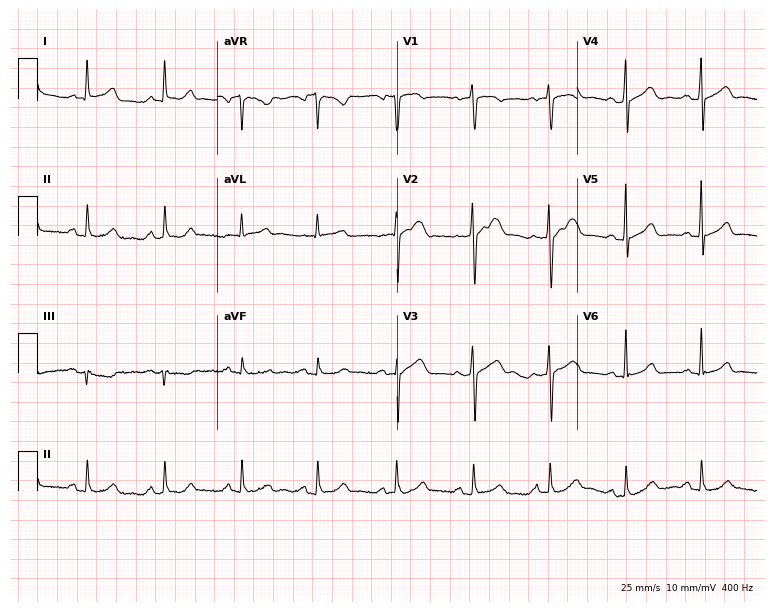
12-lead ECG from a woman, 68 years old. Labelled as a normal ECG.